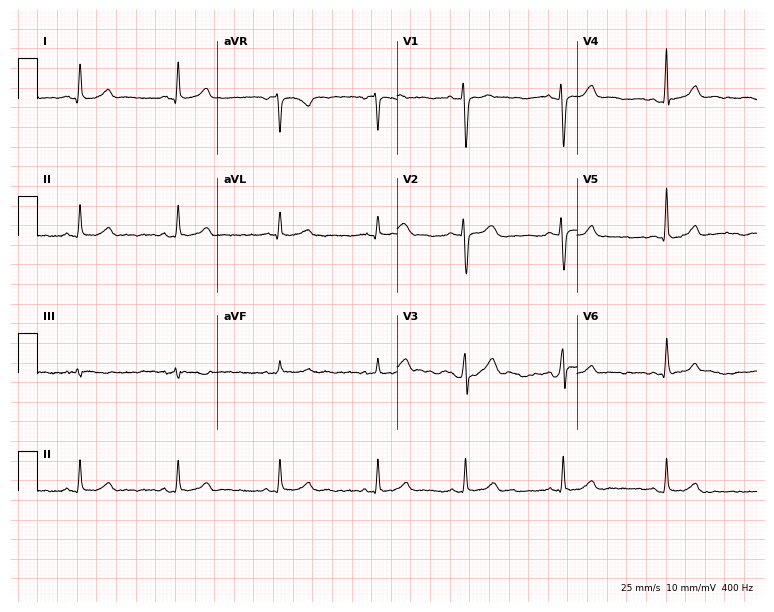
12-lead ECG from a 46-year-old woman. Screened for six findings — first-degree AV block, right bundle branch block, left bundle branch block, sinus bradycardia, atrial fibrillation, sinus tachycardia — none is recorded.